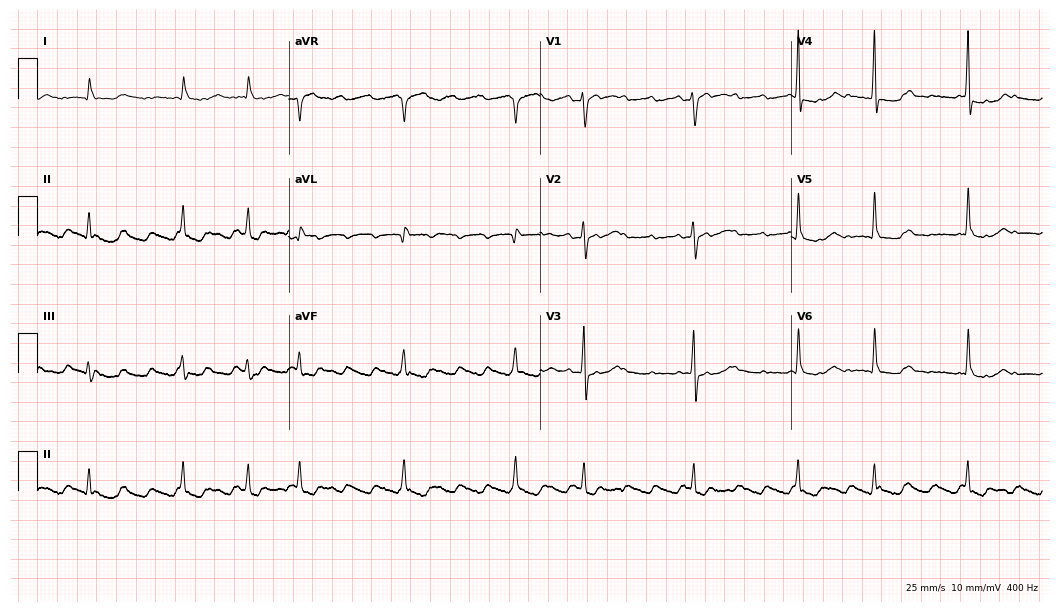
Resting 12-lead electrocardiogram (10.2-second recording at 400 Hz). Patient: a 71-year-old male. The tracing shows atrial fibrillation.